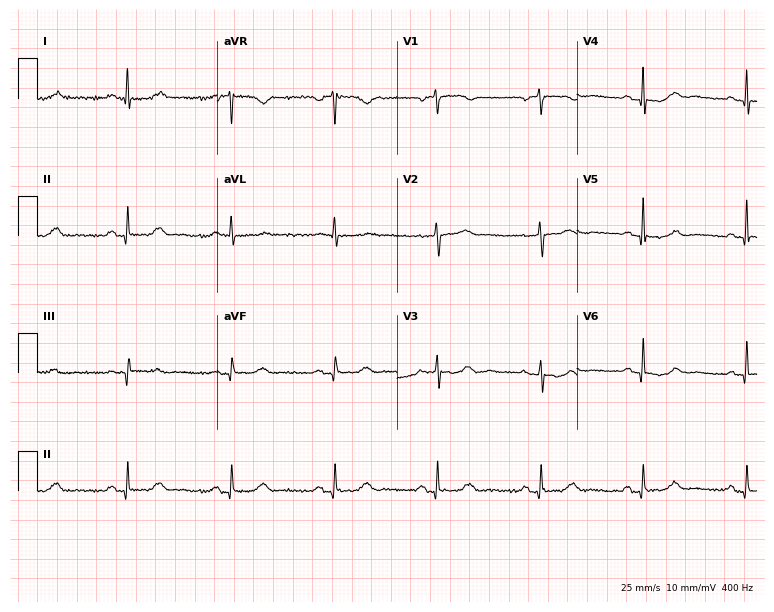
Standard 12-lead ECG recorded from a woman, 66 years old (7.3-second recording at 400 Hz). None of these six findings is recorded: first-degree AV block, right bundle branch block (RBBB), left bundle branch block (LBBB), sinus bradycardia, atrial fibrillation (AF), sinus tachycardia.